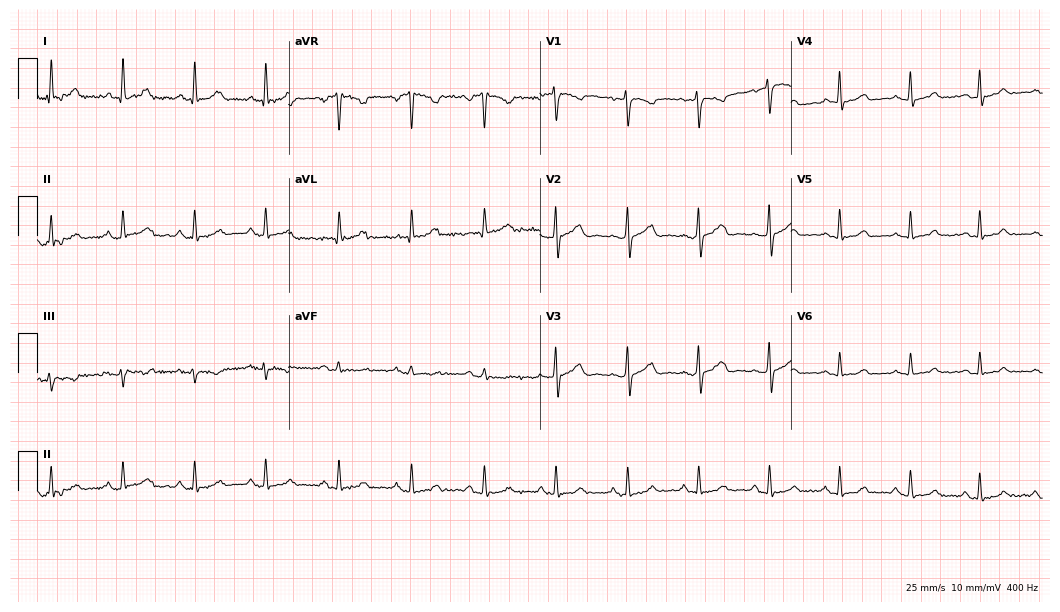
Resting 12-lead electrocardiogram. Patient: a 49-year-old female. None of these six findings is recorded: first-degree AV block, right bundle branch block, left bundle branch block, sinus bradycardia, atrial fibrillation, sinus tachycardia. Findings outside these six are not listed.